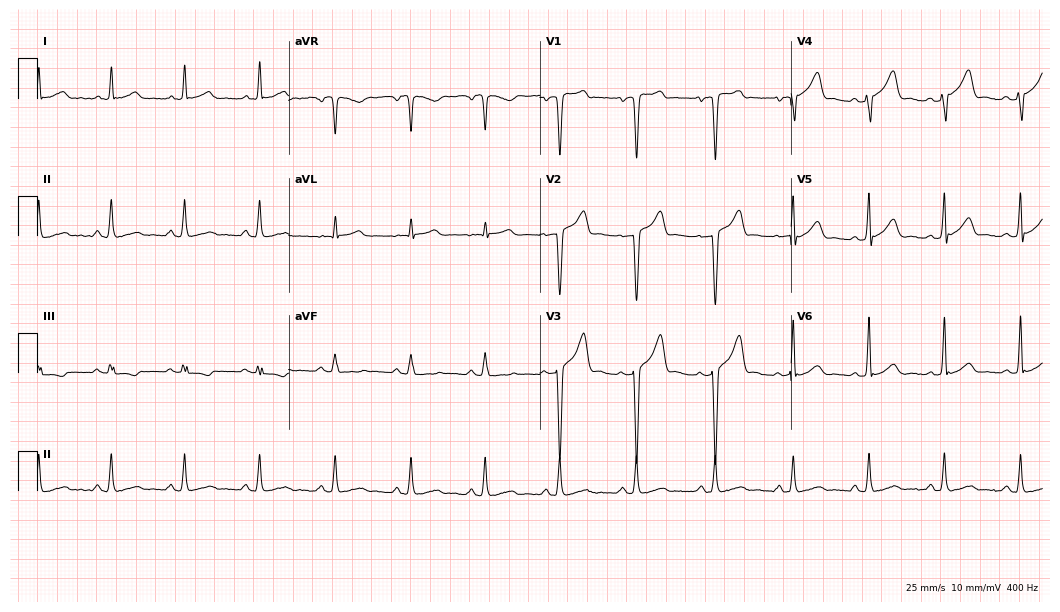
ECG — a 38-year-old man. Labelled as a normal ECG.